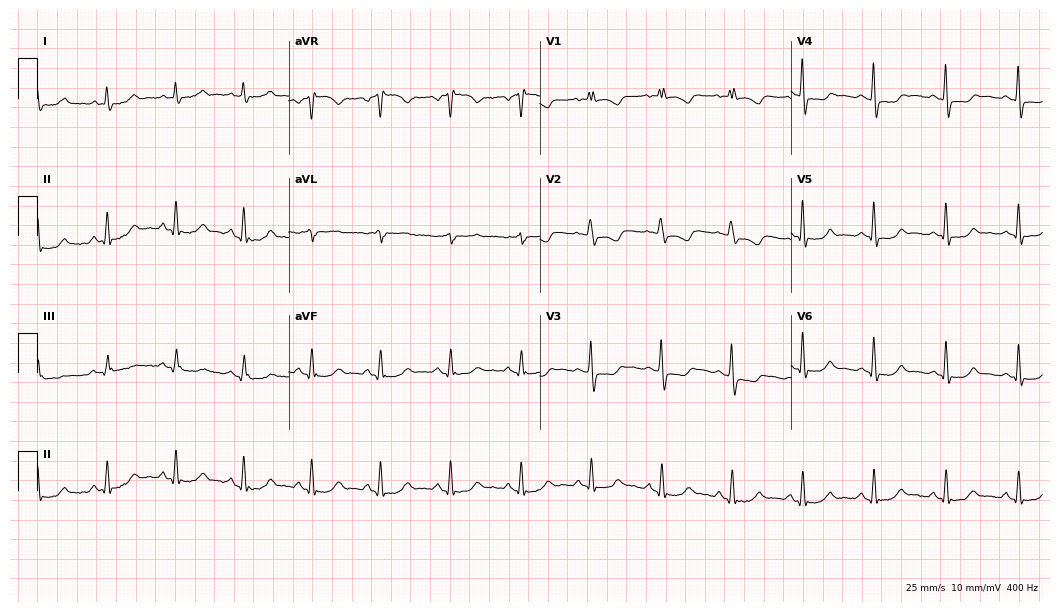
ECG — a 48-year-old female patient. Screened for six findings — first-degree AV block, right bundle branch block (RBBB), left bundle branch block (LBBB), sinus bradycardia, atrial fibrillation (AF), sinus tachycardia — none is recorded.